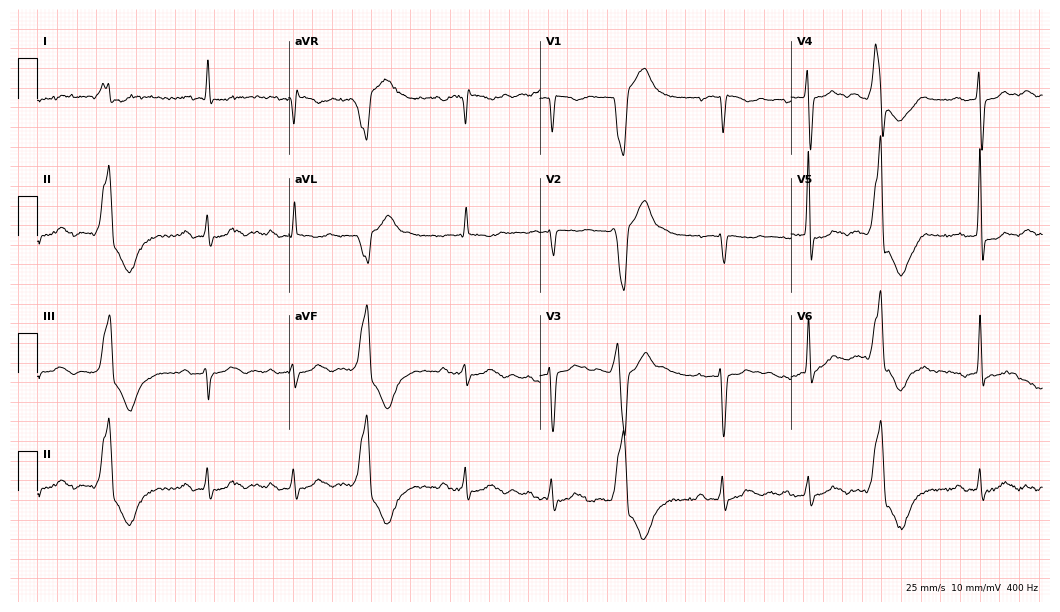
Standard 12-lead ECG recorded from an 82-year-old male (10.2-second recording at 400 Hz). The tracing shows first-degree AV block.